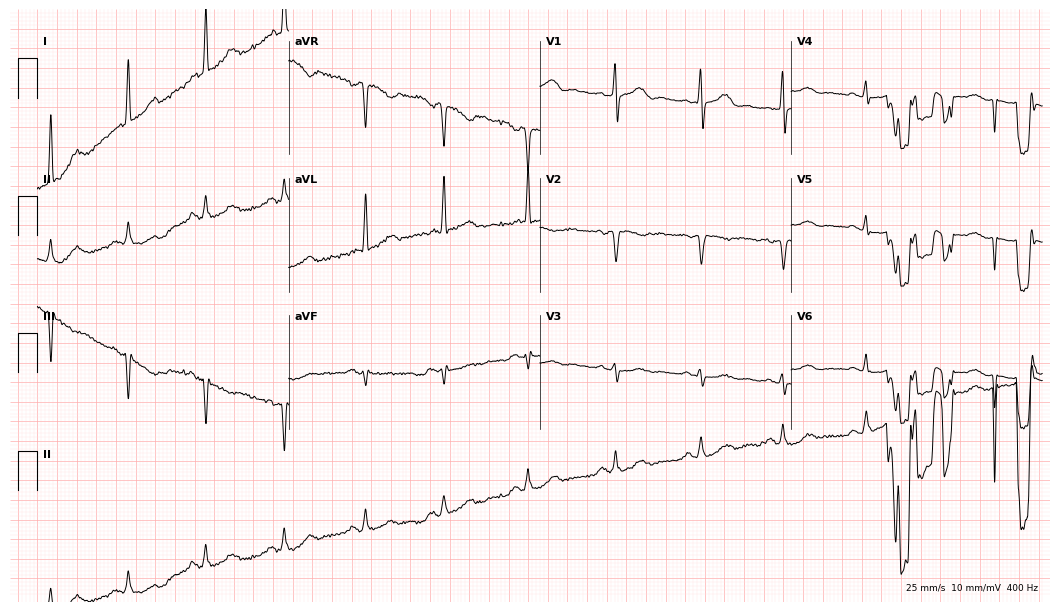
12-lead ECG (10.2-second recording at 400 Hz) from a female, 71 years old. Screened for six findings — first-degree AV block, right bundle branch block, left bundle branch block, sinus bradycardia, atrial fibrillation, sinus tachycardia — none is recorded.